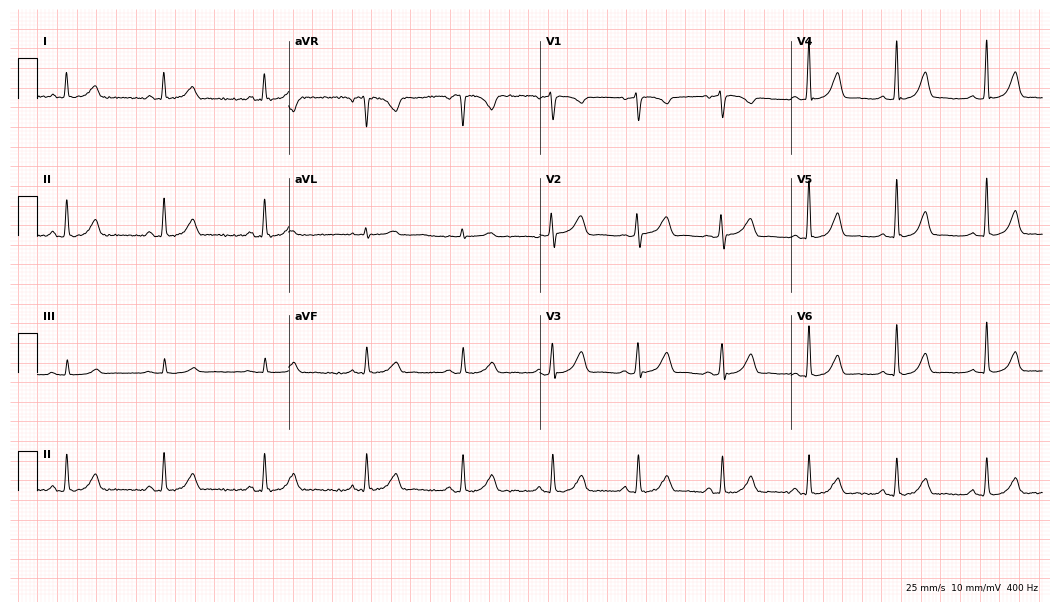
12-lead ECG (10.2-second recording at 400 Hz) from a 60-year-old female patient. Labelled as a normal ECG.